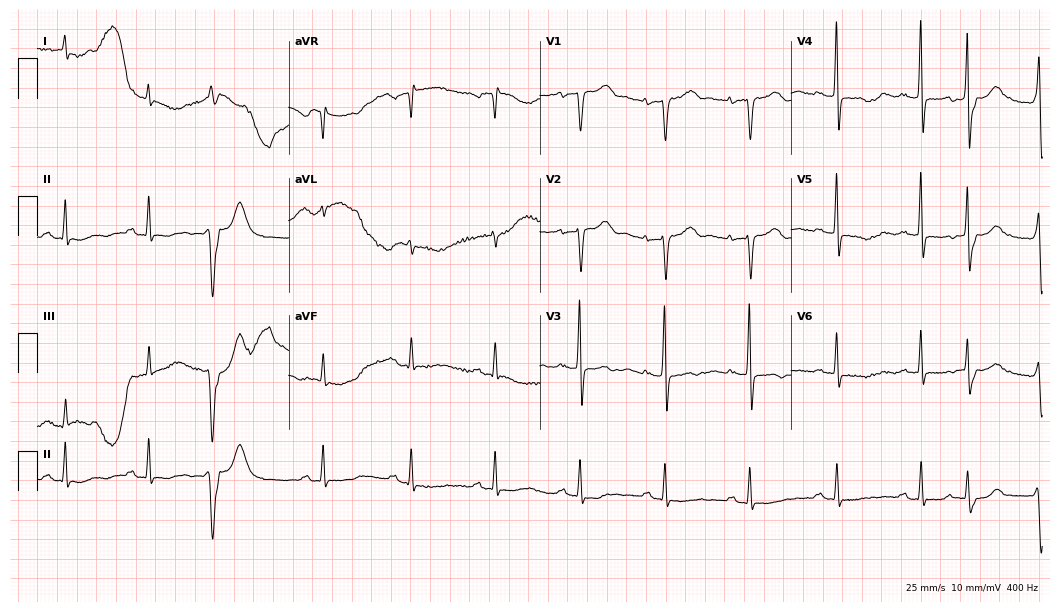
Electrocardiogram (10.2-second recording at 400 Hz), a 72-year-old female. Of the six screened findings (first-degree AV block, right bundle branch block (RBBB), left bundle branch block (LBBB), sinus bradycardia, atrial fibrillation (AF), sinus tachycardia), none is recorded.